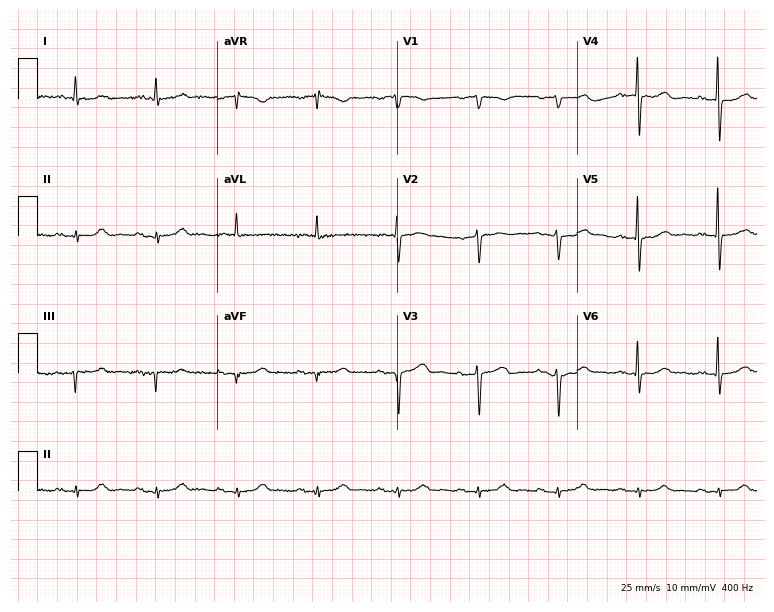
12-lead ECG from an 85-year-old man (7.3-second recording at 400 Hz). No first-degree AV block, right bundle branch block, left bundle branch block, sinus bradycardia, atrial fibrillation or sinus tachycardia recorded for this tracing.